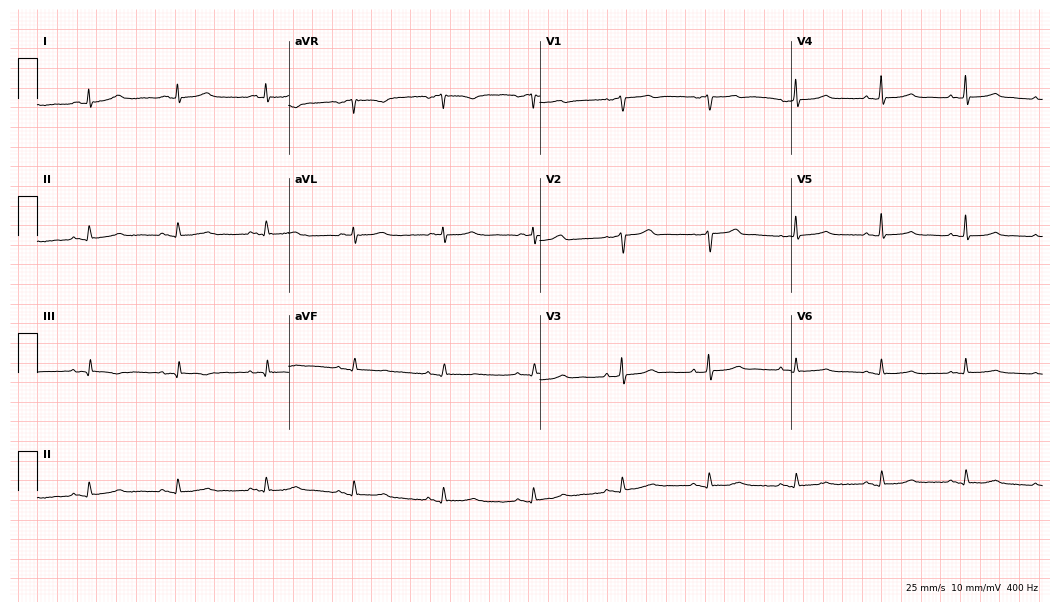
12-lead ECG from a 78-year-old female patient. No first-degree AV block, right bundle branch block, left bundle branch block, sinus bradycardia, atrial fibrillation or sinus tachycardia recorded for this tracing.